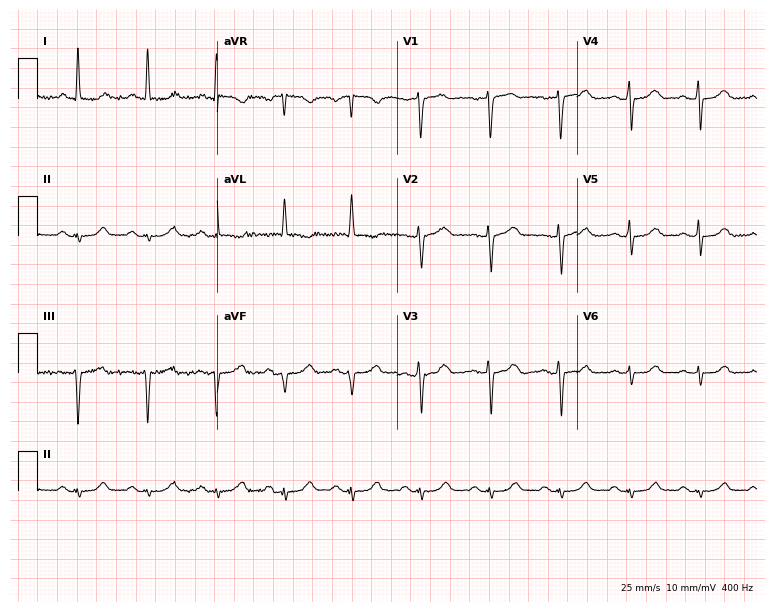
12-lead ECG (7.3-second recording at 400 Hz) from a woman, 58 years old. Screened for six findings — first-degree AV block, right bundle branch block, left bundle branch block, sinus bradycardia, atrial fibrillation, sinus tachycardia — none is recorded. Findings outside these six are not listed.